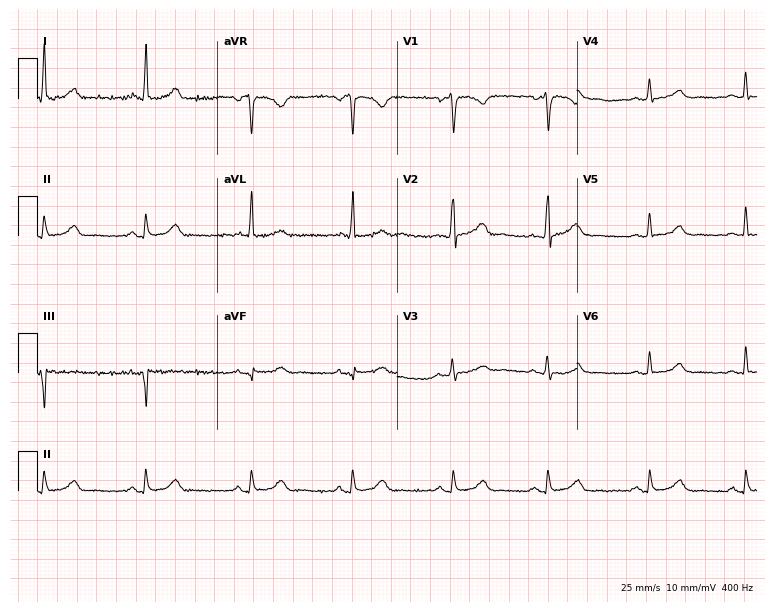
12-lead ECG (7.3-second recording at 400 Hz) from a woman, 45 years old. Labelled as a normal ECG.